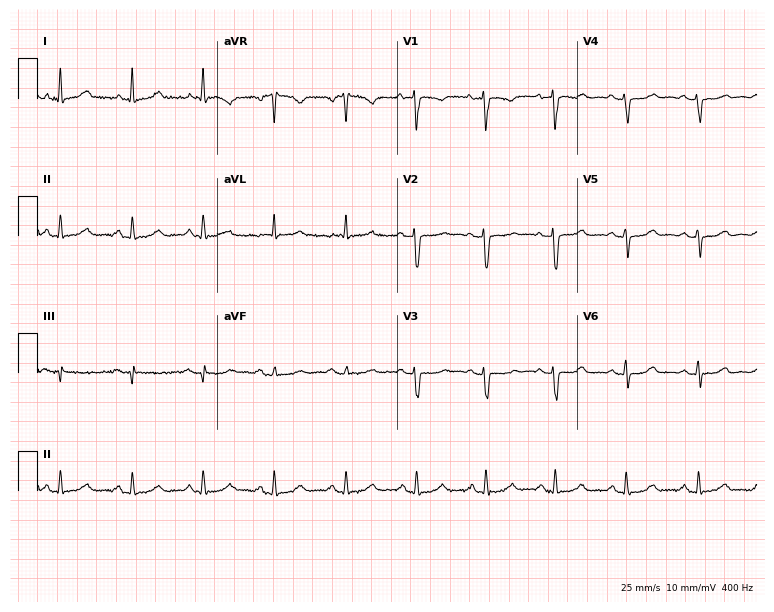
12-lead ECG from a female patient, 50 years old. Recorded interpretation: within normal limits.